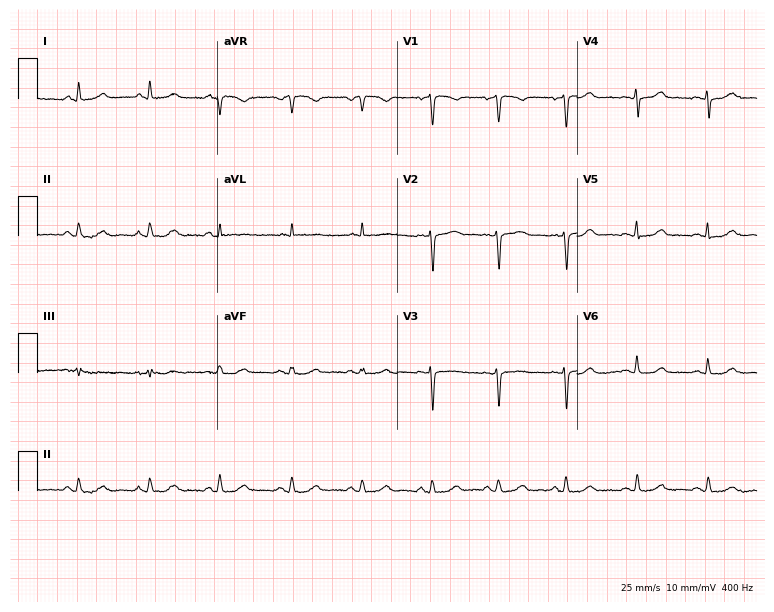
Resting 12-lead electrocardiogram (7.3-second recording at 400 Hz). Patient: a 66-year-old female. None of these six findings is recorded: first-degree AV block, right bundle branch block, left bundle branch block, sinus bradycardia, atrial fibrillation, sinus tachycardia.